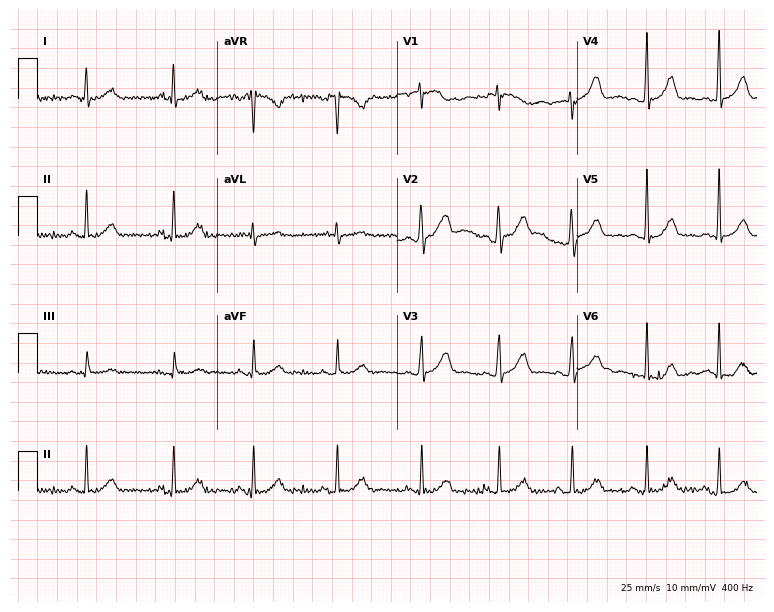
12-lead ECG from a 48-year-old woman (7.3-second recording at 400 Hz). Recorded interpretation: within normal limits.